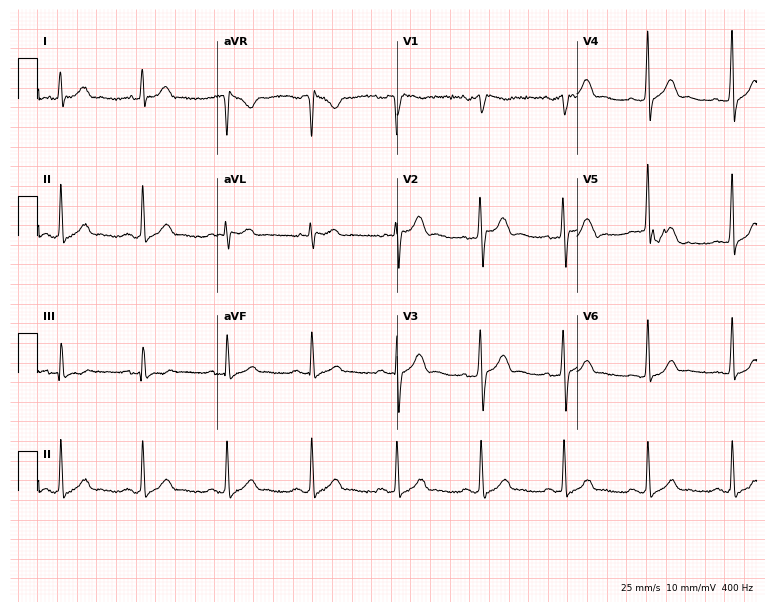
ECG — a 46-year-old male patient. Labelled as a normal ECG.